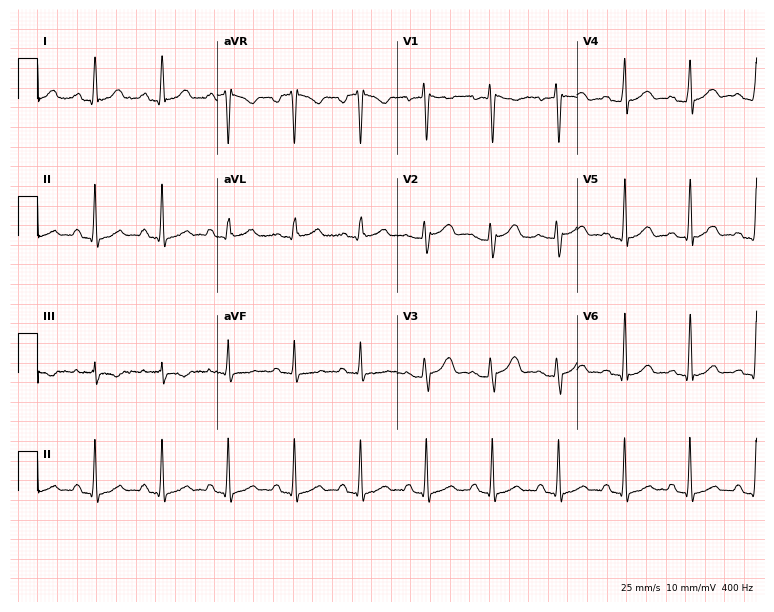
12-lead ECG from a 24-year-old woman. Recorded interpretation: within normal limits.